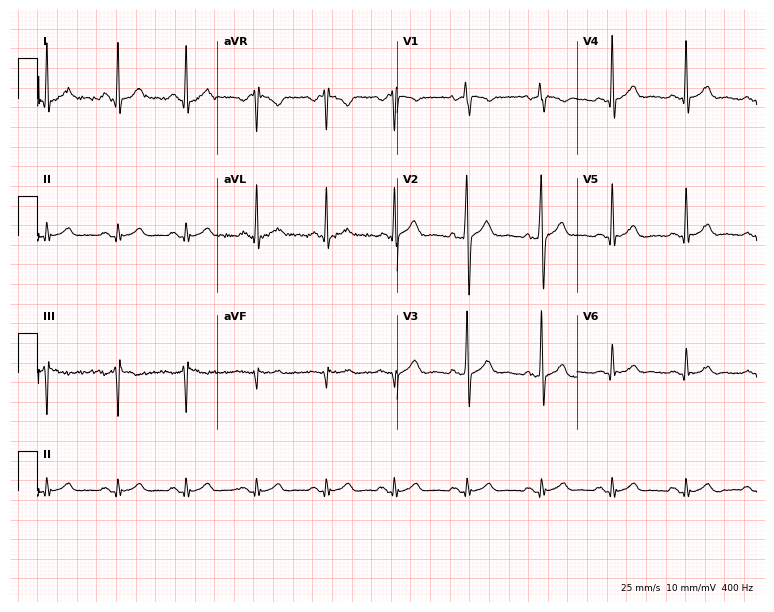
Electrocardiogram (7.3-second recording at 400 Hz), a 25-year-old man. Overall reading on record: normal ECG.